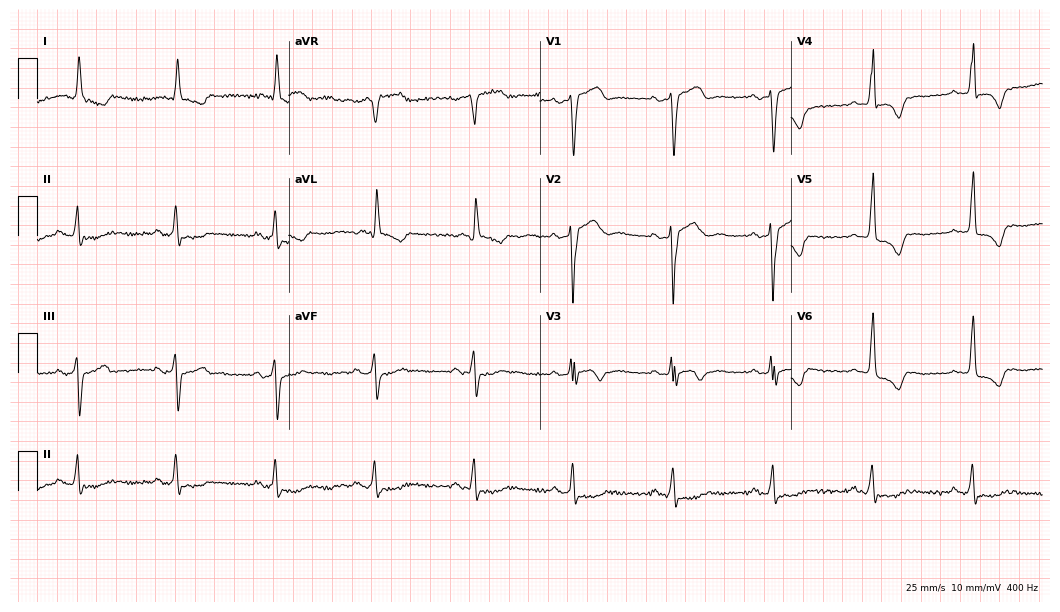
12-lead ECG from a male, 82 years old. No first-degree AV block, right bundle branch block, left bundle branch block, sinus bradycardia, atrial fibrillation or sinus tachycardia recorded for this tracing.